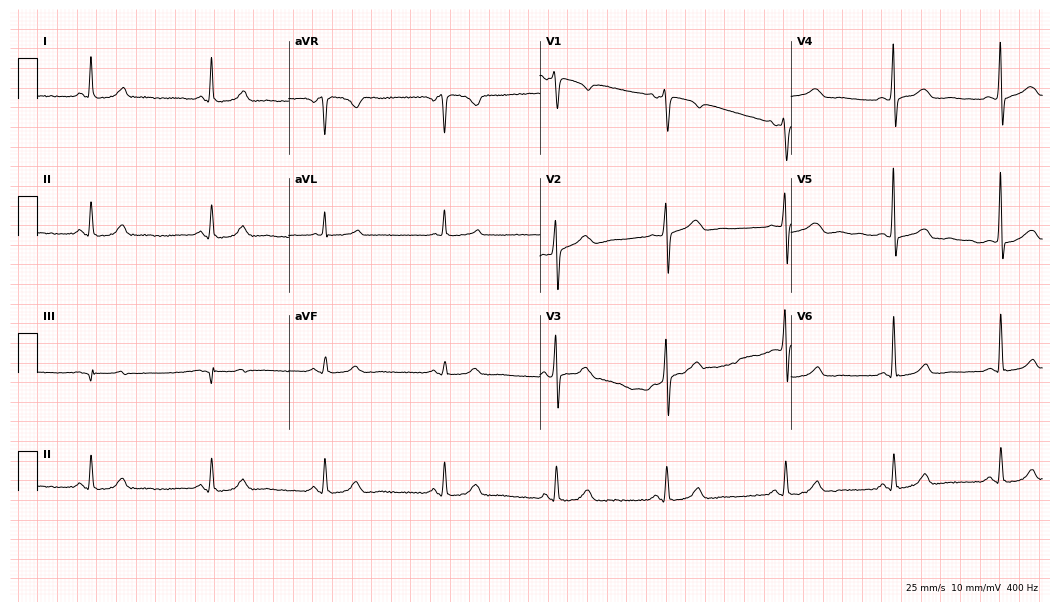
ECG — a 51-year-old female patient. Labelled as a normal ECG.